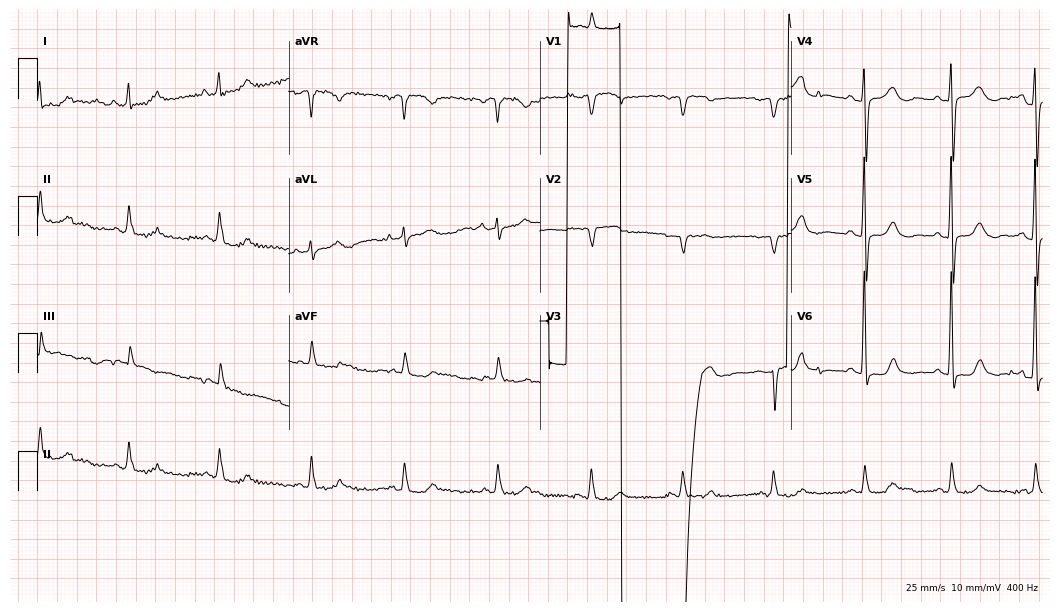
Electrocardiogram (10.2-second recording at 400 Hz), a female, 65 years old. Of the six screened findings (first-degree AV block, right bundle branch block, left bundle branch block, sinus bradycardia, atrial fibrillation, sinus tachycardia), none is recorded. Only these six findings were labelled.